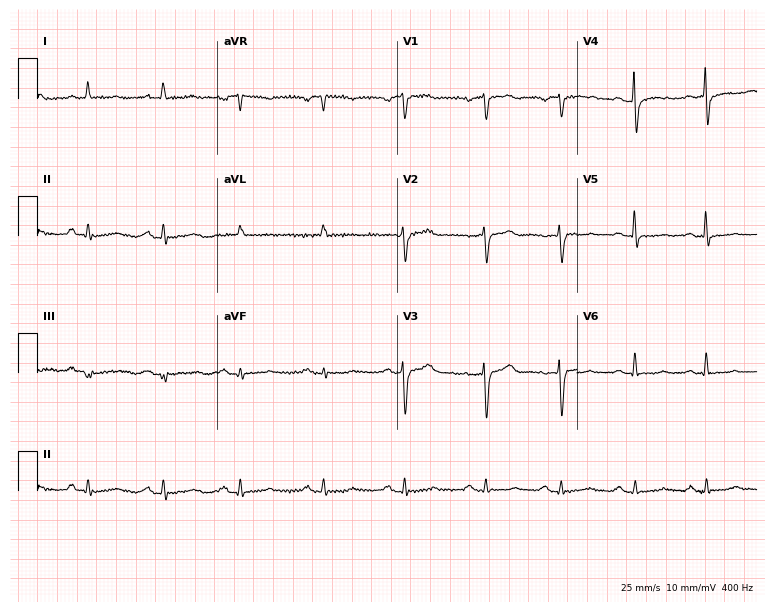
Resting 12-lead electrocardiogram. Patient: a female, 66 years old. None of these six findings is recorded: first-degree AV block, right bundle branch block (RBBB), left bundle branch block (LBBB), sinus bradycardia, atrial fibrillation (AF), sinus tachycardia. Only these six findings were labelled.